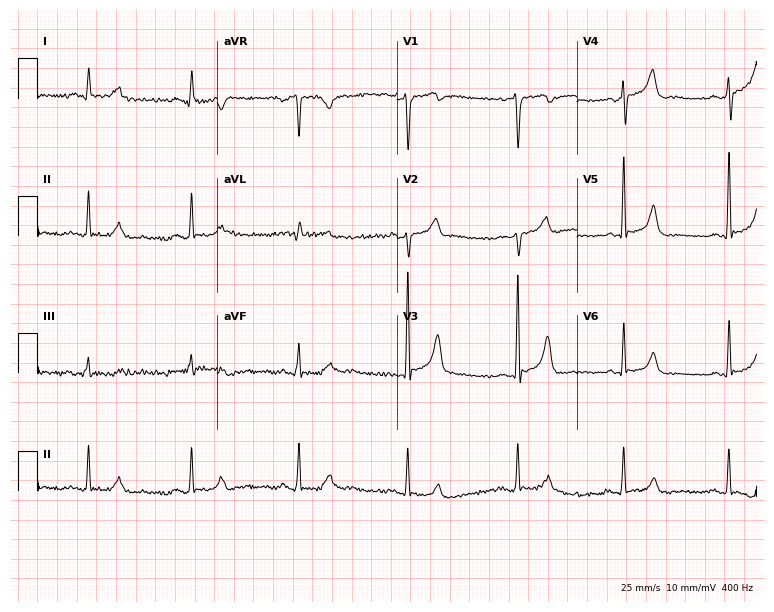
12-lead ECG from a 70-year-old male. Screened for six findings — first-degree AV block, right bundle branch block, left bundle branch block, sinus bradycardia, atrial fibrillation, sinus tachycardia — none is recorded.